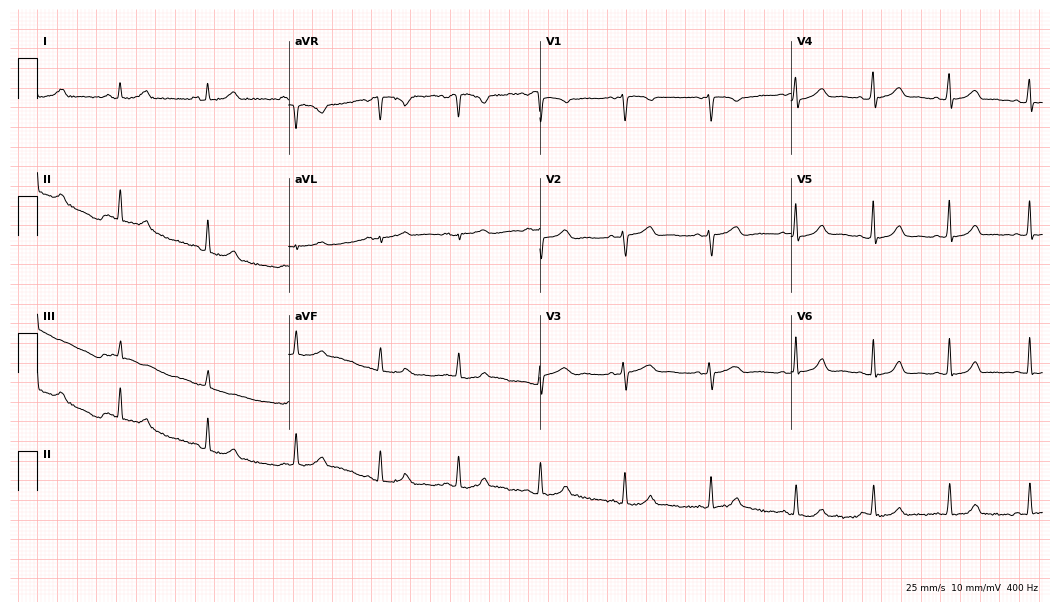
12-lead ECG from a 25-year-old female. Labelled as a normal ECG.